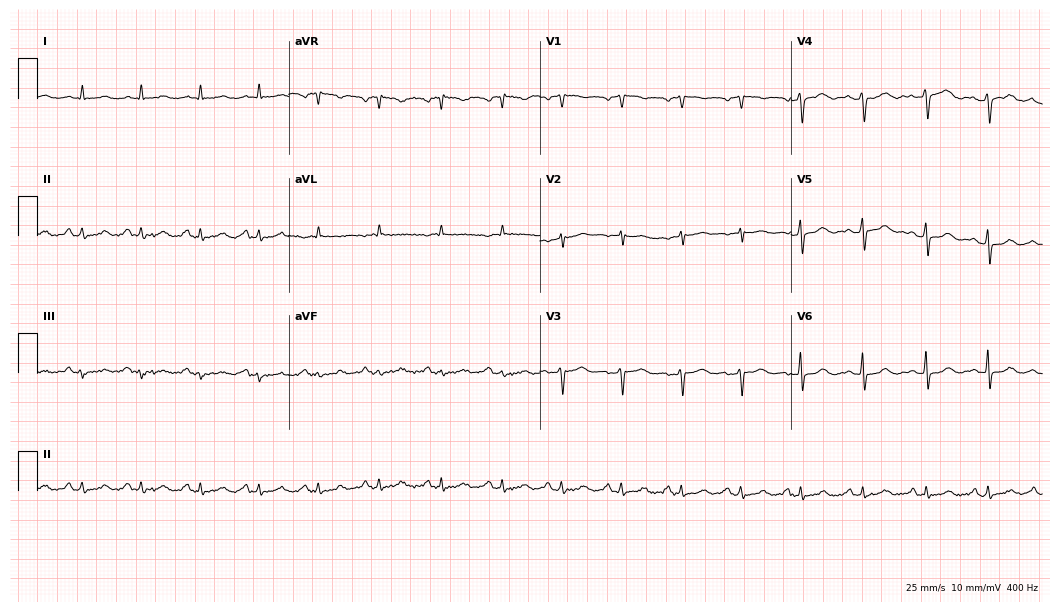
Resting 12-lead electrocardiogram (10.2-second recording at 400 Hz). Patient: a female, 51 years old. None of these six findings is recorded: first-degree AV block, right bundle branch block (RBBB), left bundle branch block (LBBB), sinus bradycardia, atrial fibrillation (AF), sinus tachycardia. Other findings, if any, are not listed.